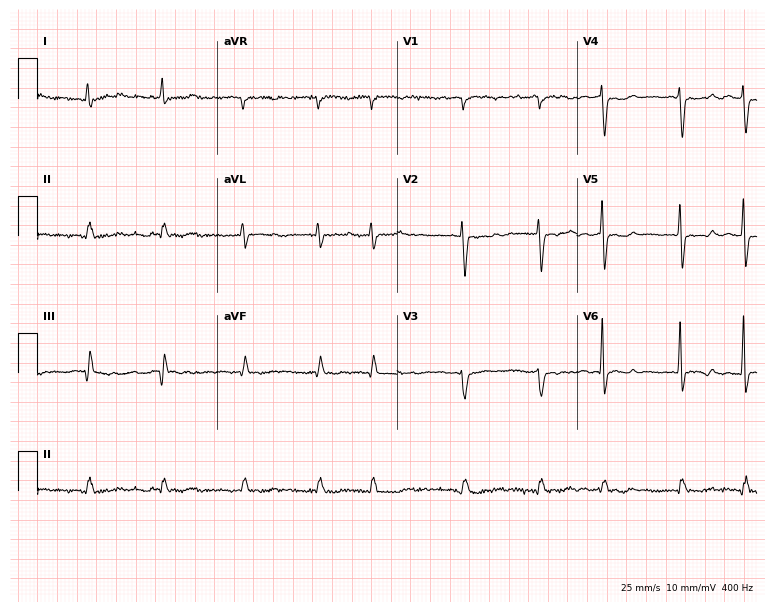
ECG (7.3-second recording at 400 Hz) — a 69-year-old woman. Findings include atrial fibrillation.